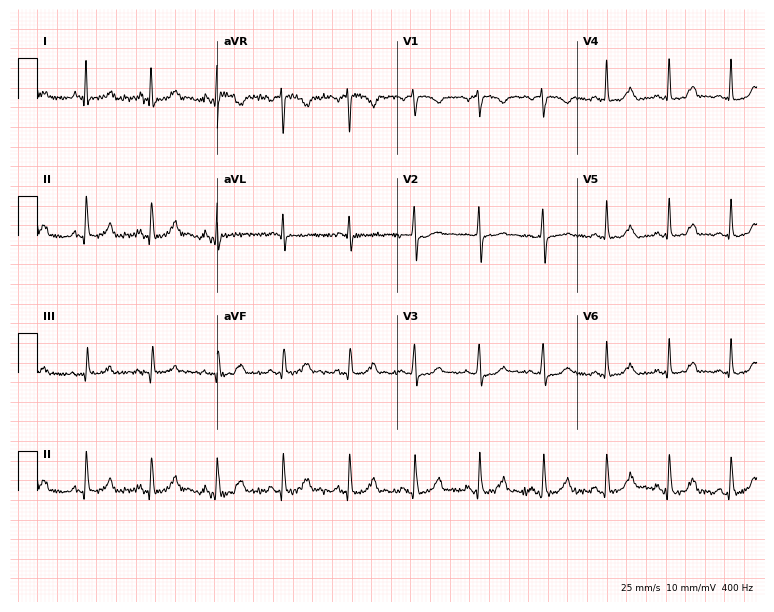
12-lead ECG from a female, 51 years old. No first-degree AV block, right bundle branch block, left bundle branch block, sinus bradycardia, atrial fibrillation or sinus tachycardia recorded for this tracing. Only these six findings were labelled.